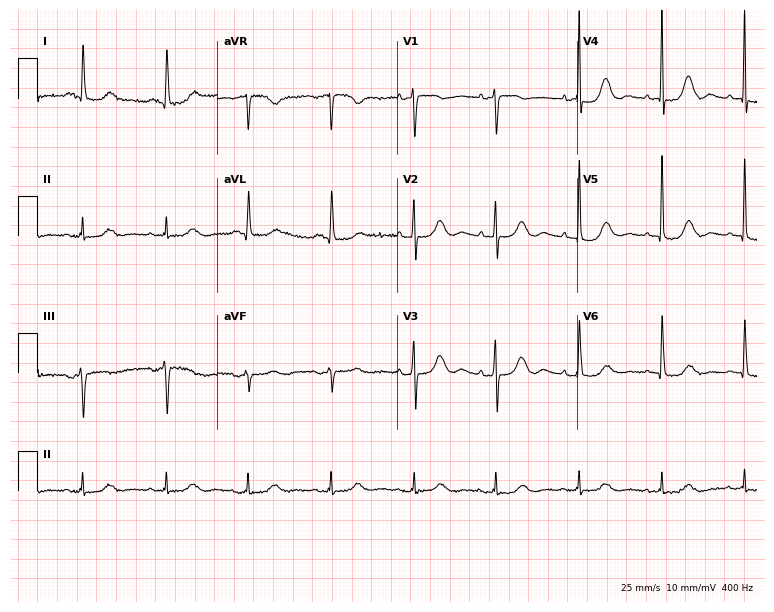
Electrocardiogram, a 75-year-old female patient. Overall reading on record: normal ECG.